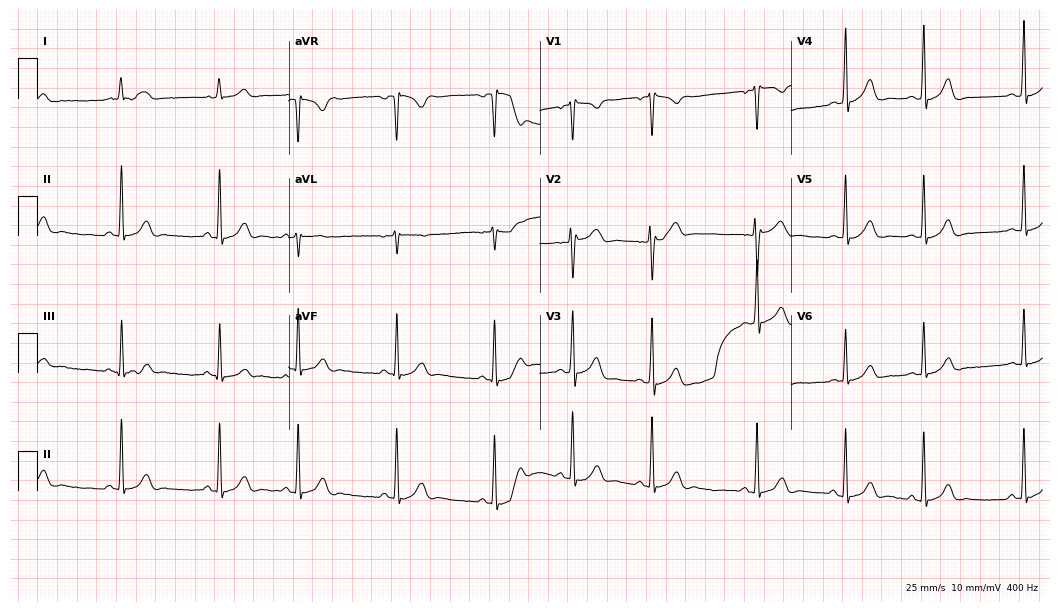
12-lead ECG (10.2-second recording at 400 Hz) from a 20-year-old female. Labelled as a normal ECG.